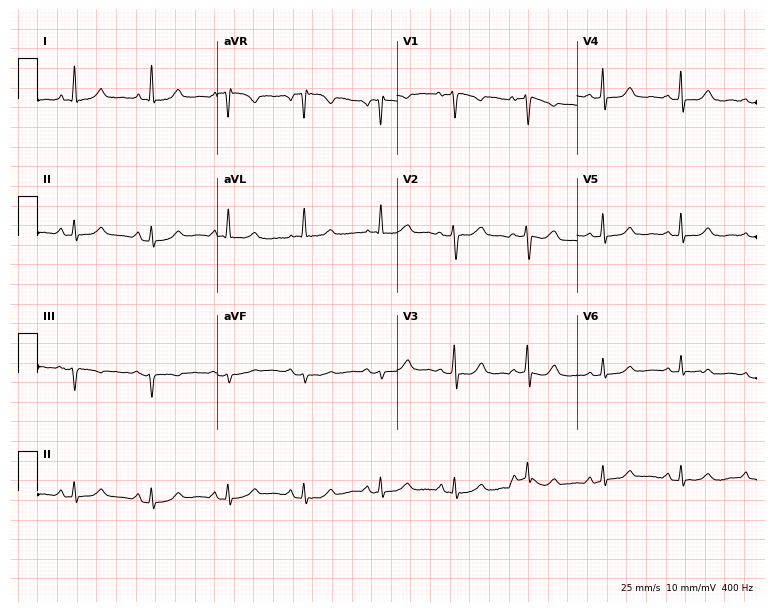
12-lead ECG from a woman, 60 years old (7.3-second recording at 400 Hz). No first-degree AV block, right bundle branch block, left bundle branch block, sinus bradycardia, atrial fibrillation or sinus tachycardia recorded for this tracing.